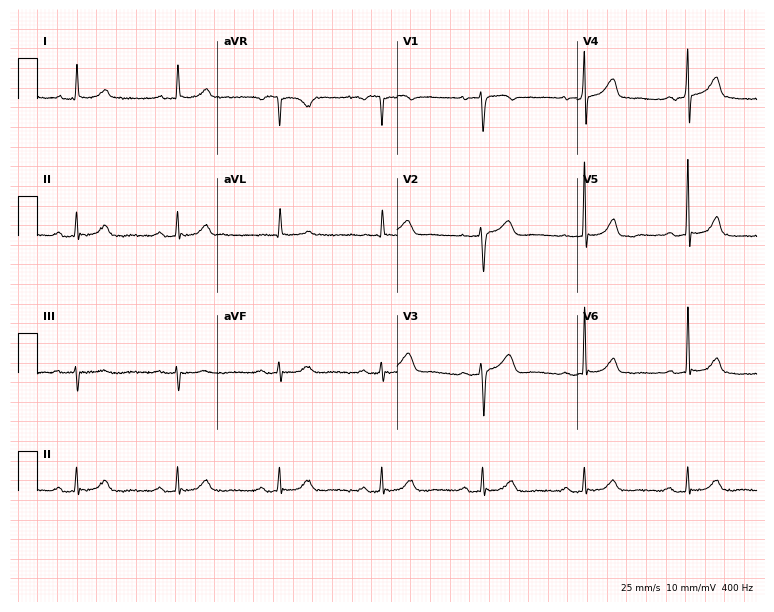
12-lead ECG from a 77-year-old female. Recorded interpretation: within normal limits.